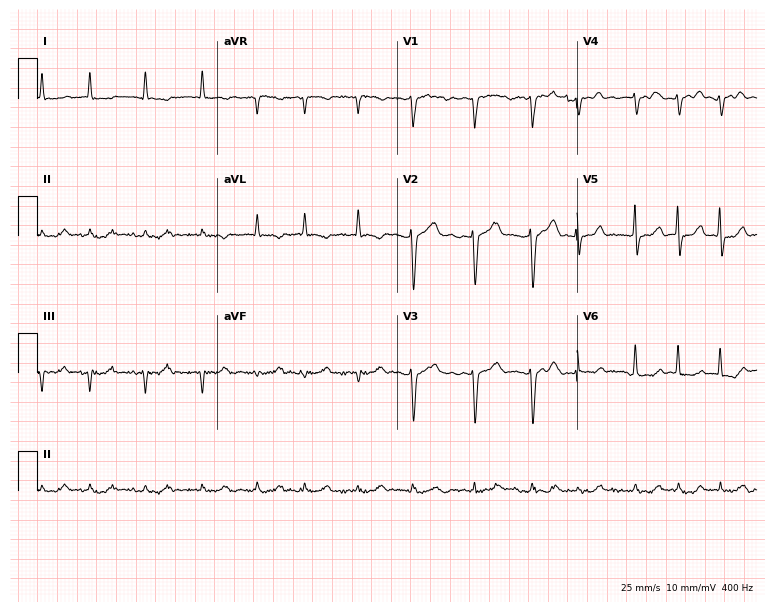
Standard 12-lead ECG recorded from a female patient, 82 years old. None of these six findings is recorded: first-degree AV block, right bundle branch block, left bundle branch block, sinus bradycardia, atrial fibrillation, sinus tachycardia. Only these six findings were labelled.